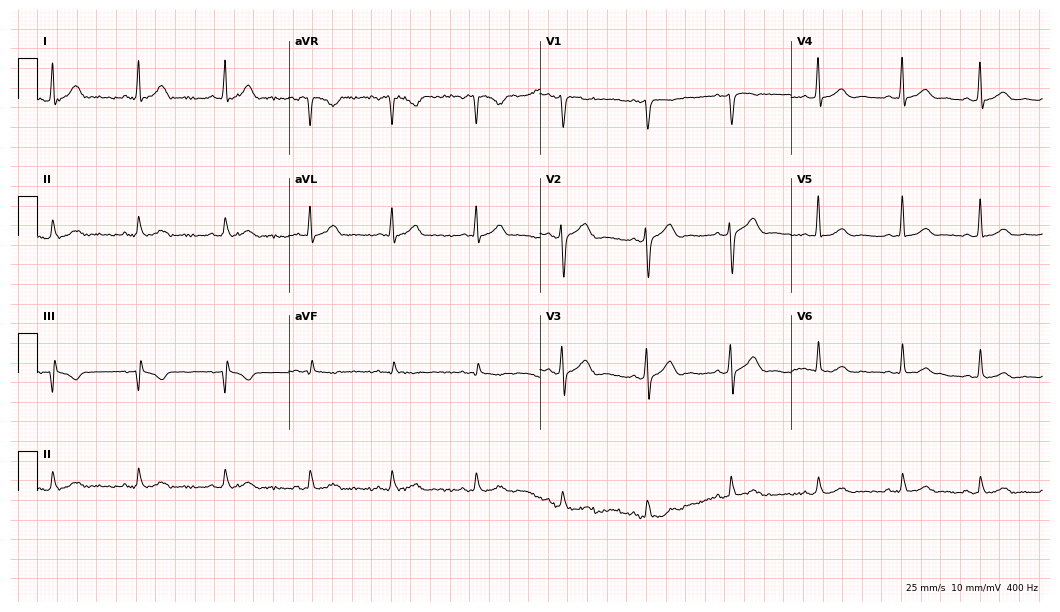
ECG — a 45-year-old man. Labelled as a normal ECG.